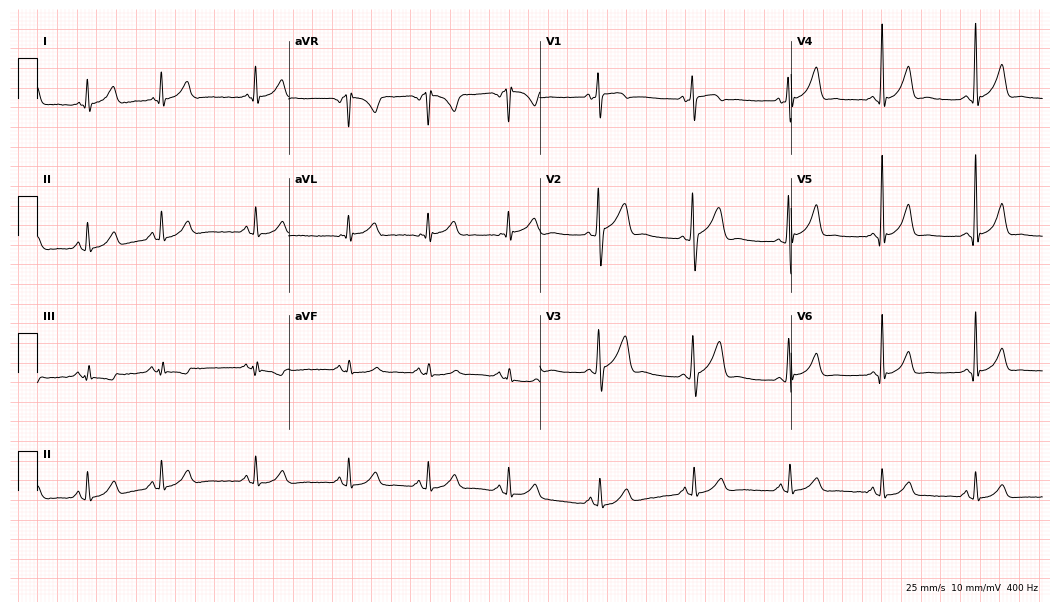
Standard 12-lead ECG recorded from a 35-year-old male. Read as a normal ECG.